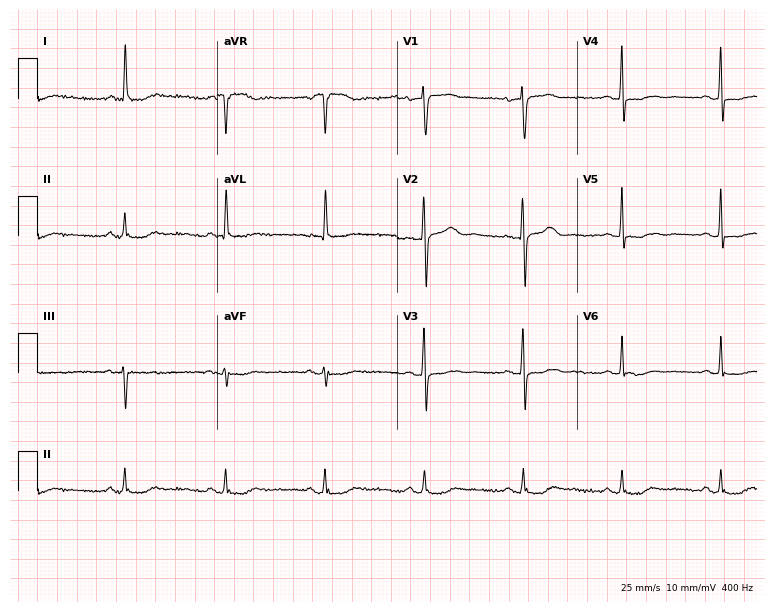
12-lead ECG from an 81-year-old woman. Screened for six findings — first-degree AV block, right bundle branch block (RBBB), left bundle branch block (LBBB), sinus bradycardia, atrial fibrillation (AF), sinus tachycardia — none is recorded. Only these six findings were labelled.